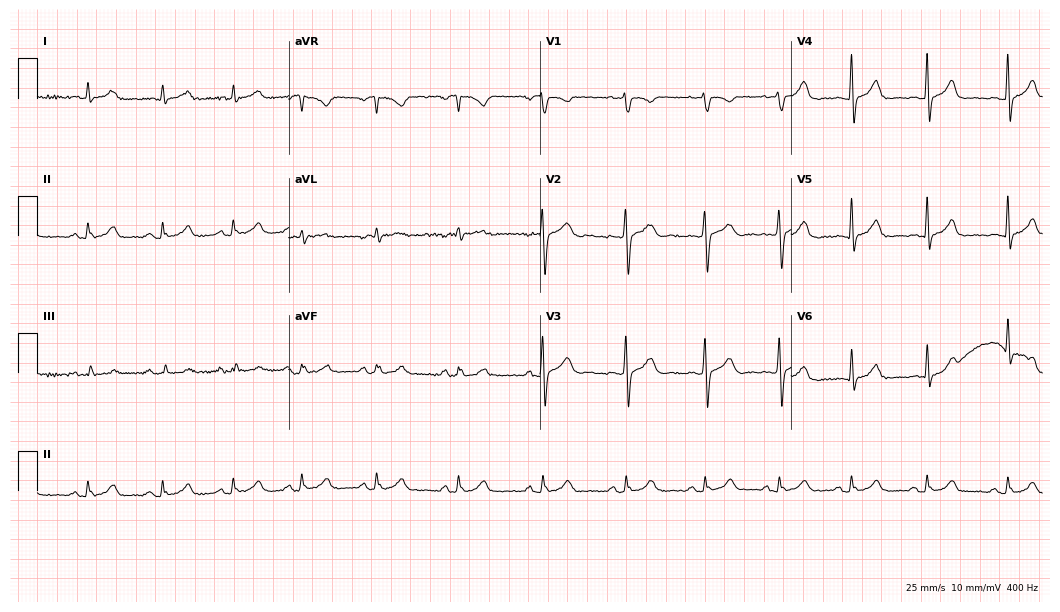
12-lead ECG from a woman, 30 years old. No first-degree AV block, right bundle branch block, left bundle branch block, sinus bradycardia, atrial fibrillation or sinus tachycardia recorded for this tracing.